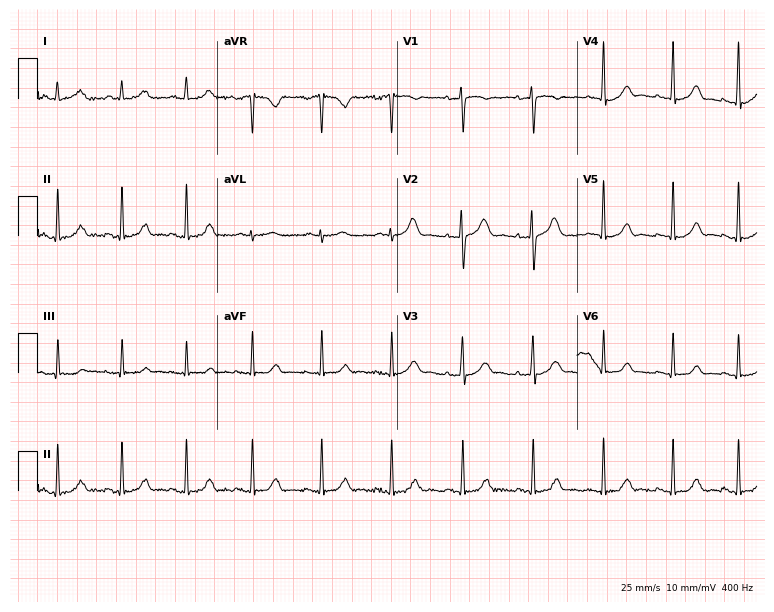
Electrocardiogram, a woman, 37 years old. Overall reading on record: normal ECG.